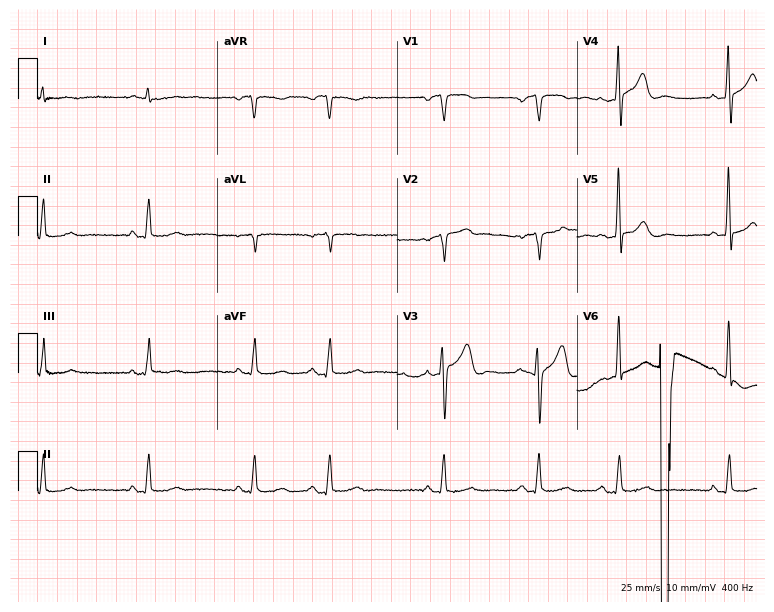
12-lead ECG from a male, 63 years old (7.3-second recording at 400 Hz). No first-degree AV block, right bundle branch block, left bundle branch block, sinus bradycardia, atrial fibrillation or sinus tachycardia recorded for this tracing.